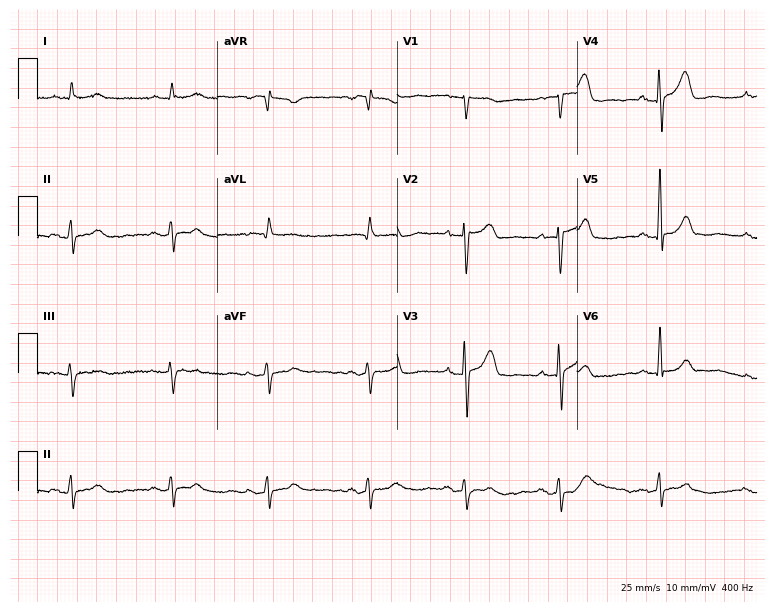
Resting 12-lead electrocardiogram (7.3-second recording at 400 Hz). Patient: a male, 79 years old. None of these six findings is recorded: first-degree AV block, right bundle branch block, left bundle branch block, sinus bradycardia, atrial fibrillation, sinus tachycardia. Findings outside these six are not listed.